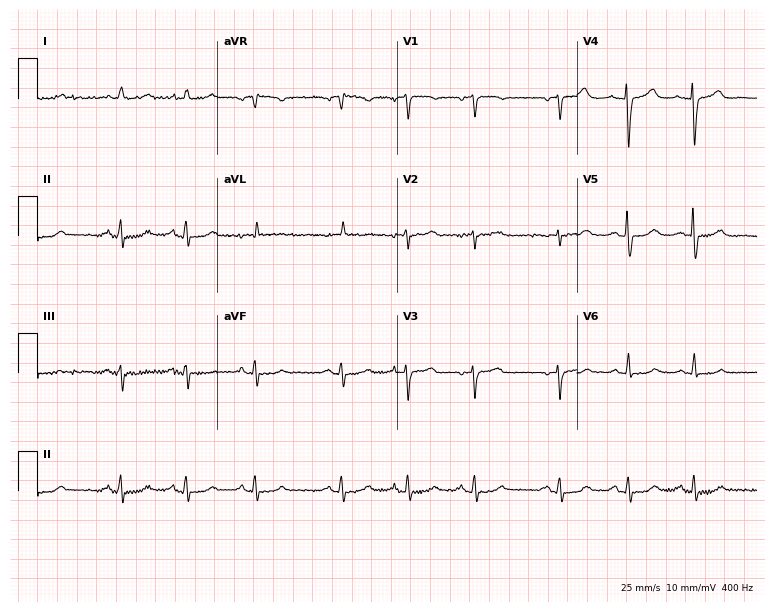
12-lead ECG from an 82-year-old female patient. Screened for six findings — first-degree AV block, right bundle branch block, left bundle branch block, sinus bradycardia, atrial fibrillation, sinus tachycardia — none is recorded.